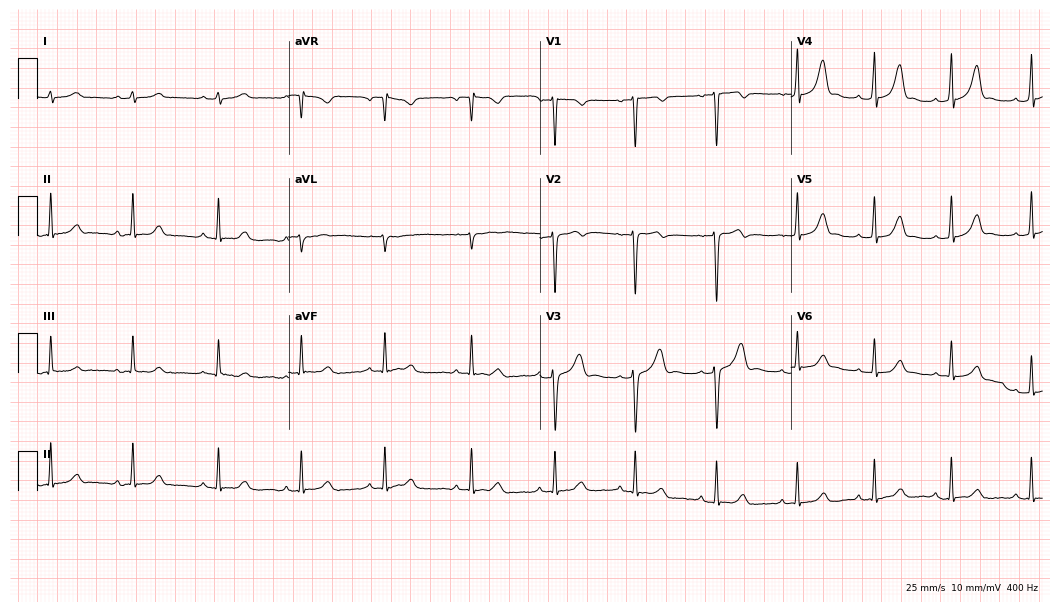
Standard 12-lead ECG recorded from a male patient, 19 years old. Read as a normal ECG.